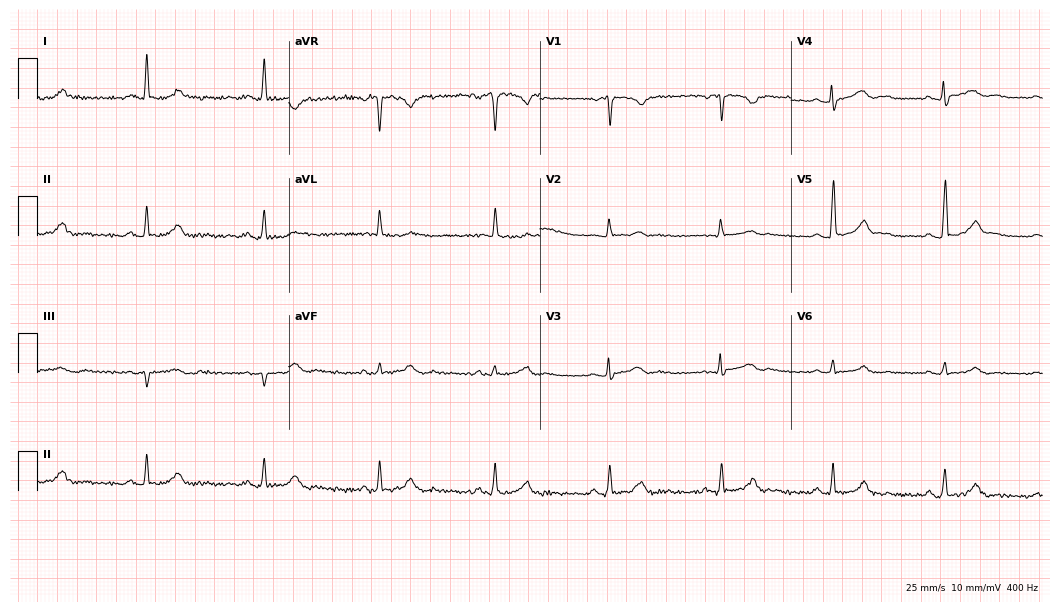
ECG — a 62-year-old female patient. Labelled as a normal ECG.